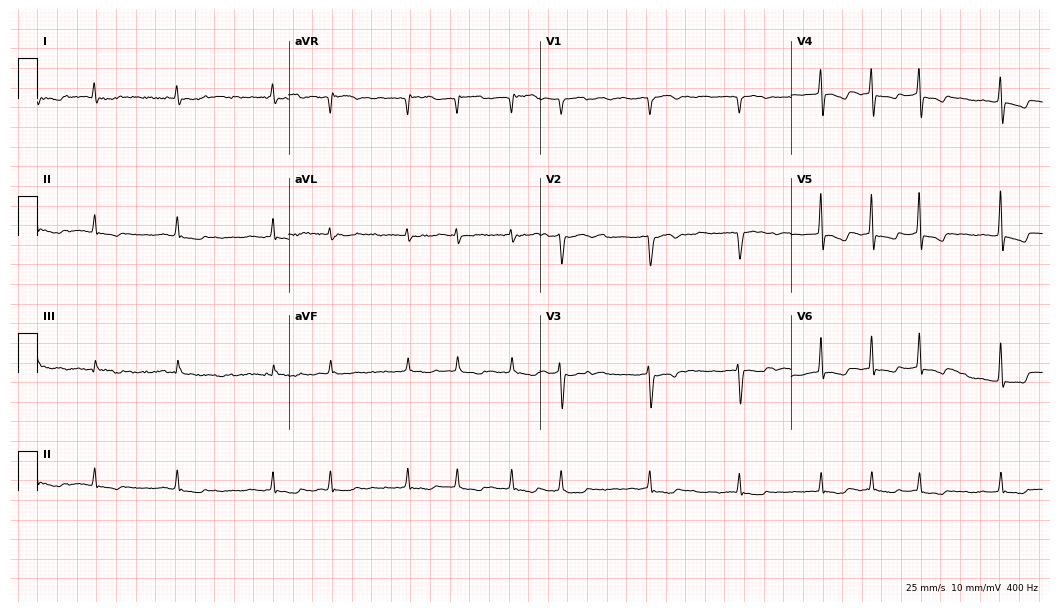
12-lead ECG from a female patient, 85 years old. Shows atrial fibrillation (AF).